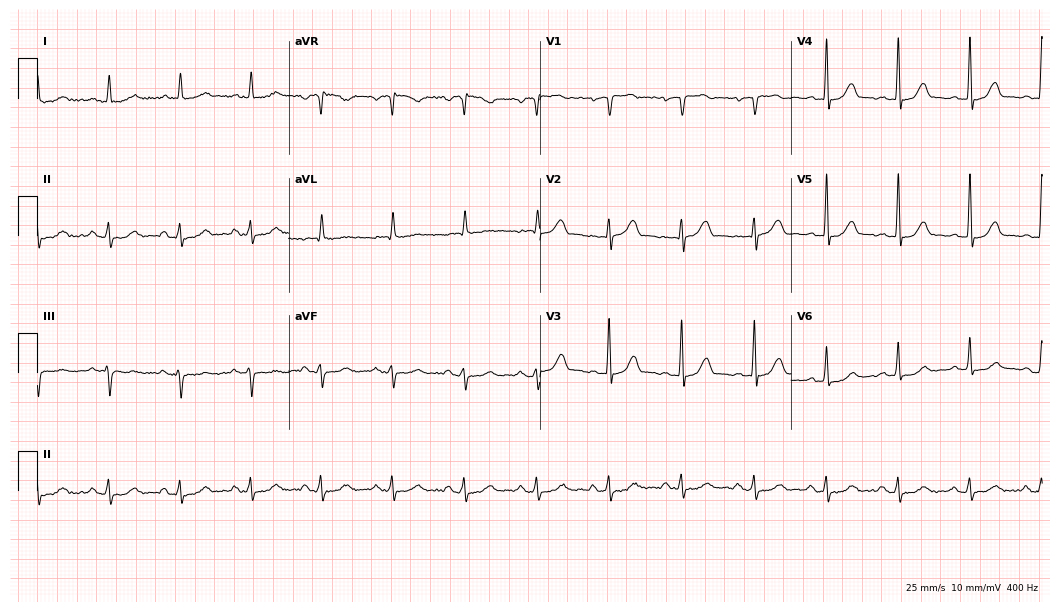
12-lead ECG (10.2-second recording at 400 Hz) from a 71-year-old male patient. Labelled as a normal ECG.